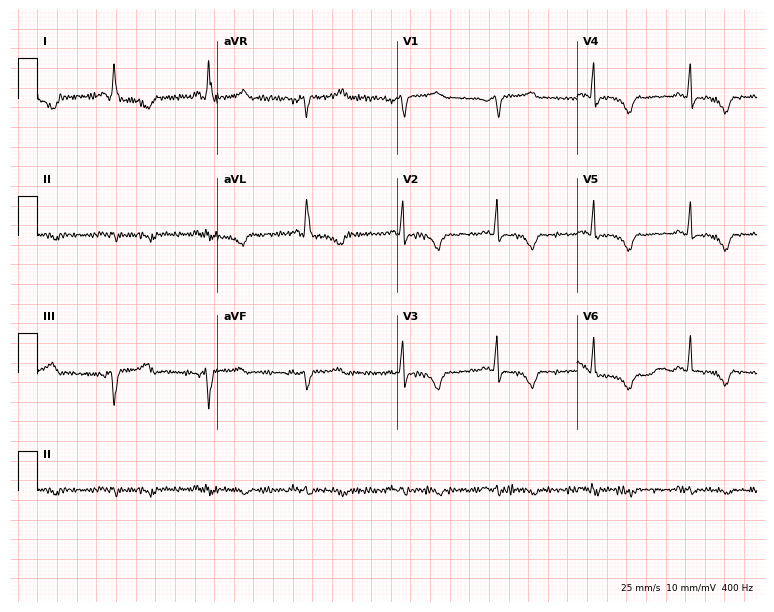
ECG (7.3-second recording at 400 Hz) — a female, 75 years old. Screened for six findings — first-degree AV block, right bundle branch block (RBBB), left bundle branch block (LBBB), sinus bradycardia, atrial fibrillation (AF), sinus tachycardia — none is recorded. Other findings, if any, are not listed.